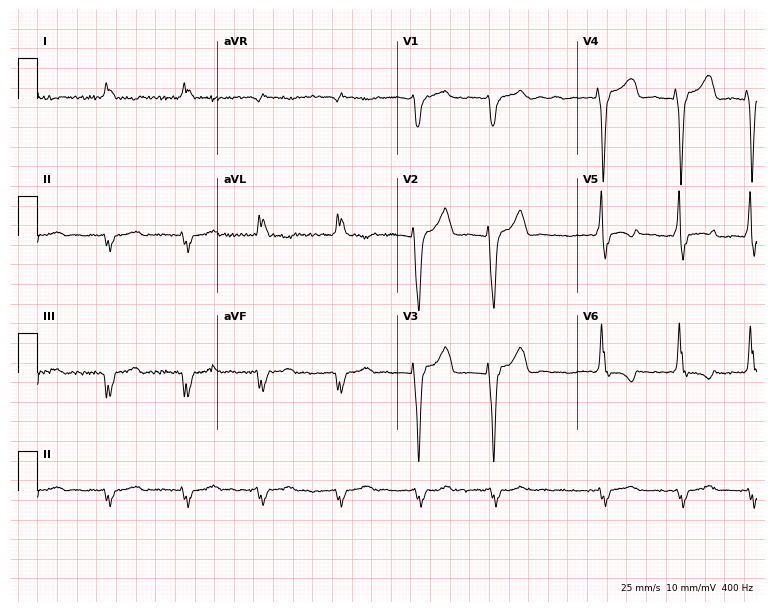
Resting 12-lead electrocardiogram (7.3-second recording at 400 Hz). Patient: a male, 74 years old. The tracing shows left bundle branch block, atrial fibrillation.